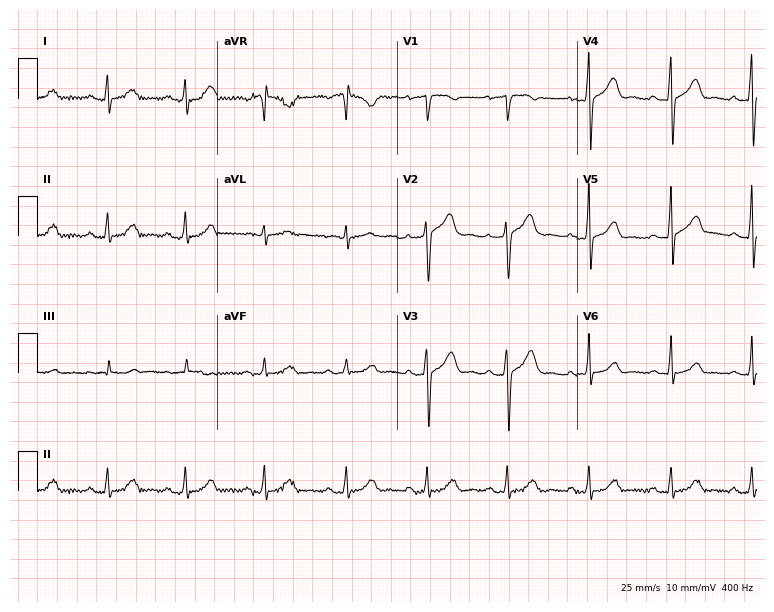
Standard 12-lead ECG recorded from a 43-year-old female. None of these six findings is recorded: first-degree AV block, right bundle branch block, left bundle branch block, sinus bradycardia, atrial fibrillation, sinus tachycardia. Only these six findings were labelled.